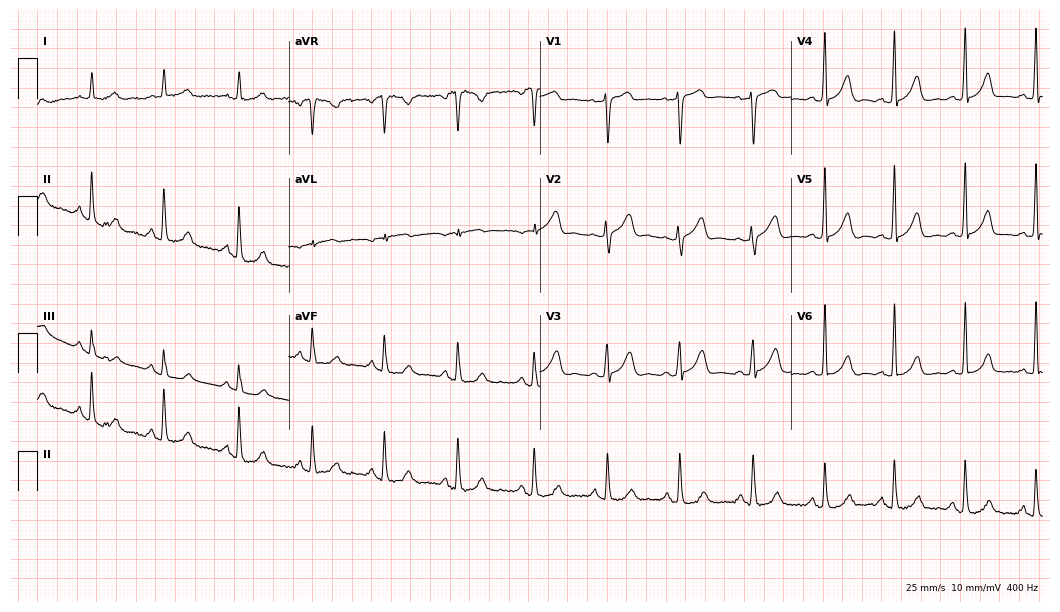
Standard 12-lead ECG recorded from an 81-year-old female (10.2-second recording at 400 Hz). Read as a normal ECG.